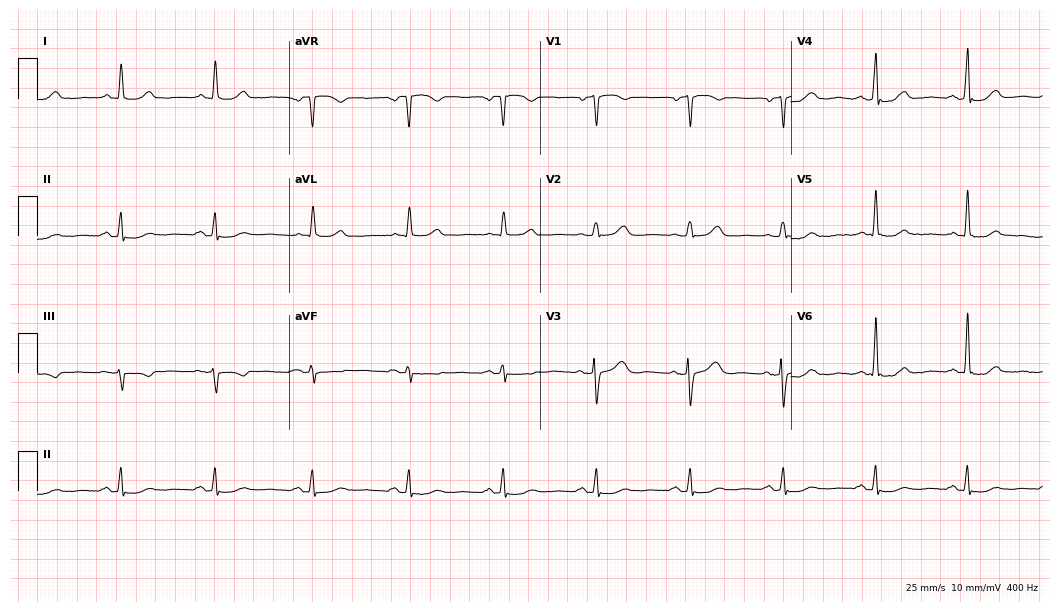
Resting 12-lead electrocardiogram (10.2-second recording at 400 Hz). Patient: a 60-year-old woman. None of these six findings is recorded: first-degree AV block, right bundle branch block, left bundle branch block, sinus bradycardia, atrial fibrillation, sinus tachycardia.